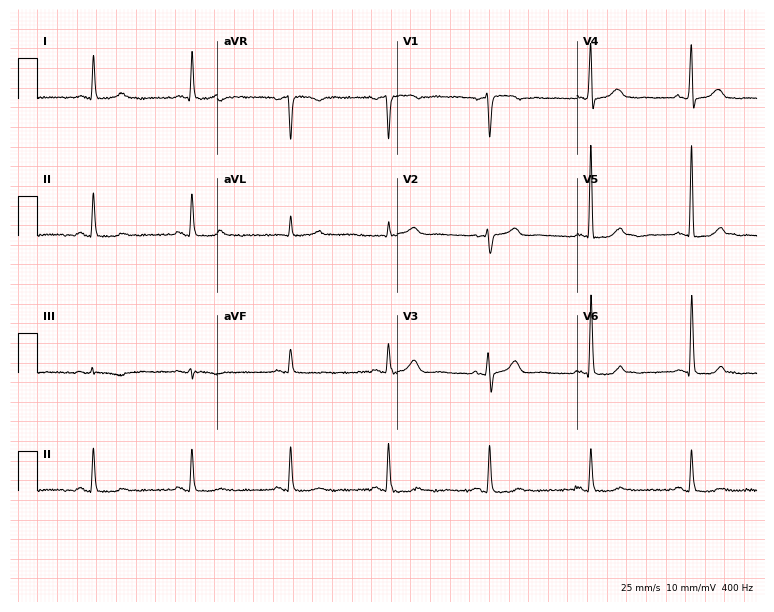
Resting 12-lead electrocardiogram. Patient: a 71-year-old female. None of these six findings is recorded: first-degree AV block, right bundle branch block, left bundle branch block, sinus bradycardia, atrial fibrillation, sinus tachycardia.